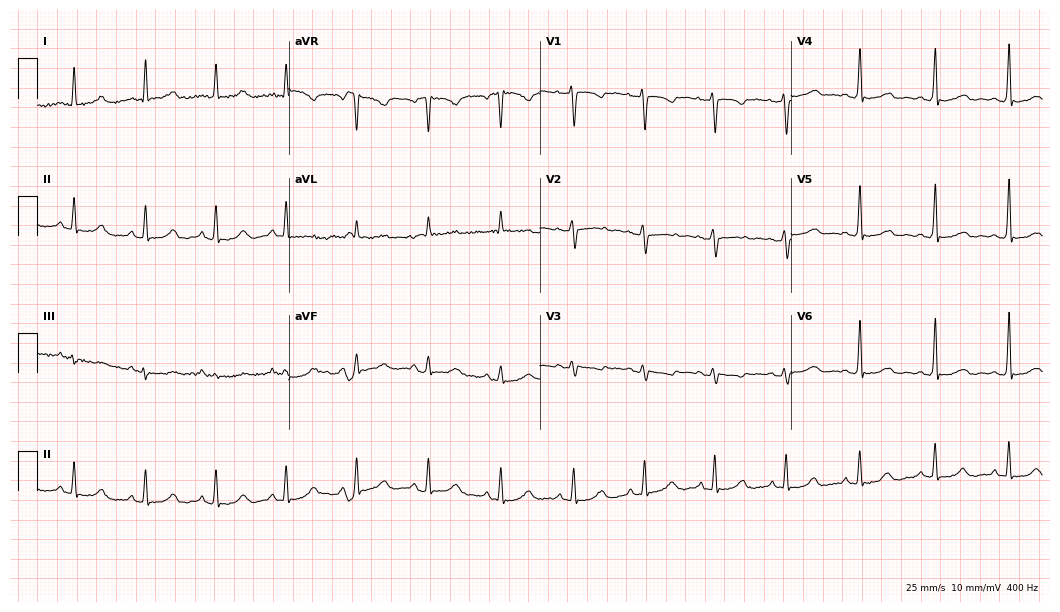
Resting 12-lead electrocardiogram. Patient: a female, 55 years old. Read as a normal ECG.